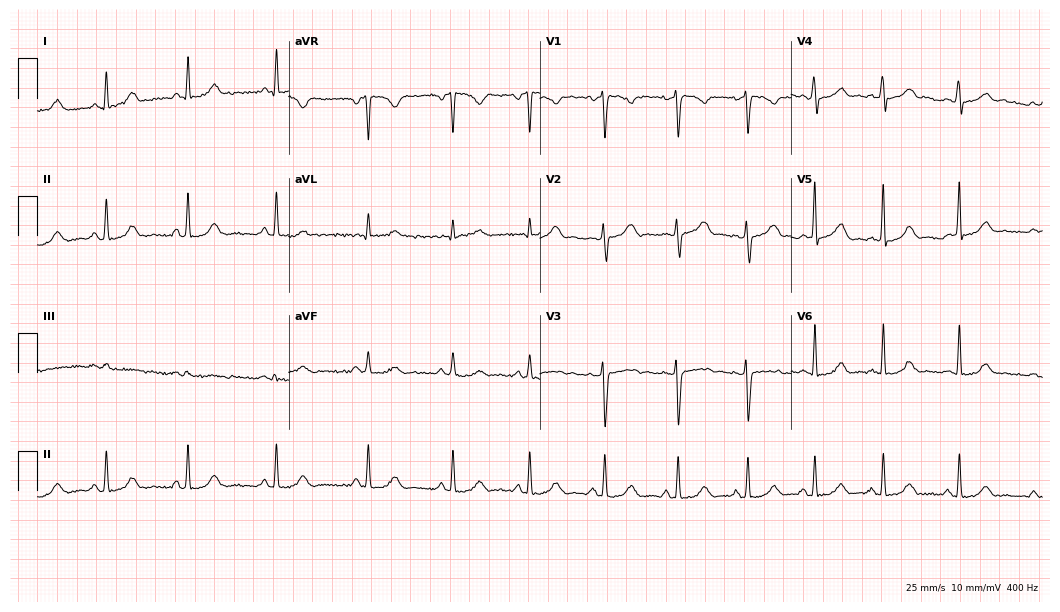
Standard 12-lead ECG recorded from a 37-year-old female patient. Read as a normal ECG.